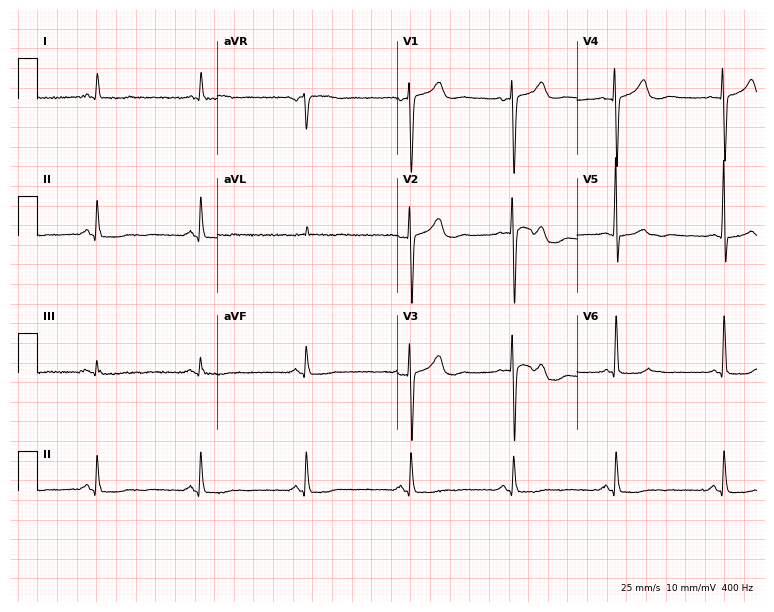
ECG — an 85-year-old male. Screened for six findings — first-degree AV block, right bundle branch block, left bundle branch block, sinus bradycardia, atrial fibrillation, sinus tachycardia — none is recorded. Findings outside these six are not listed.